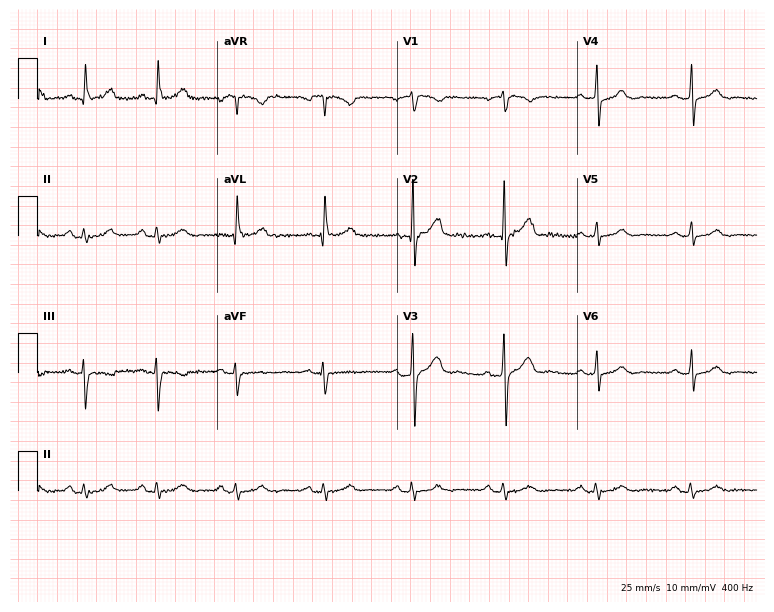
Electrocardiogram (7.3-second recording at 400 Hz), a male patient, 64 years old. Overall reading on record: normal ECG.